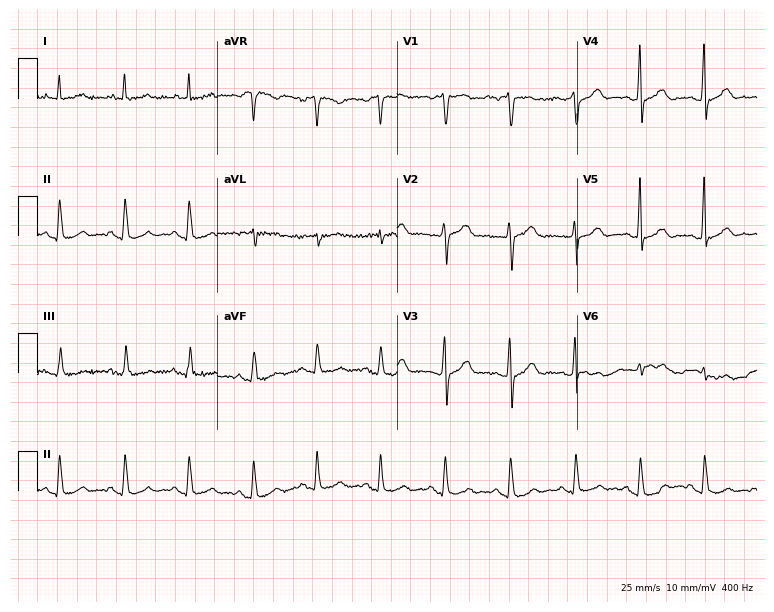
ECG (7.3-second recording at 400 Hz) — a male patient, 68 years old. Labelled as a normal ECG.